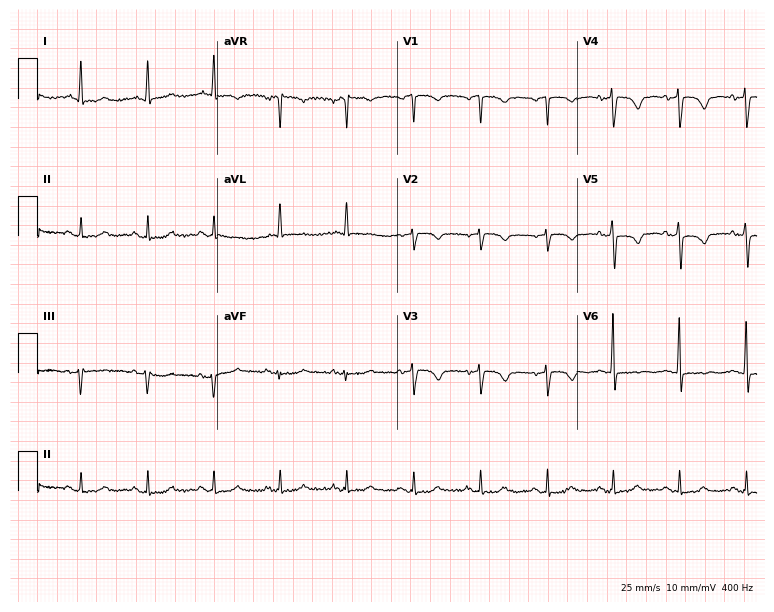
Standard 12-lead ECG recorded from a 66-year-old female. None of these six findings is recorded: first-degree AV block, right bundle branch block, left bundle branch block, sinus bradycardia, atrial fibrillation, sinus tachycardia.